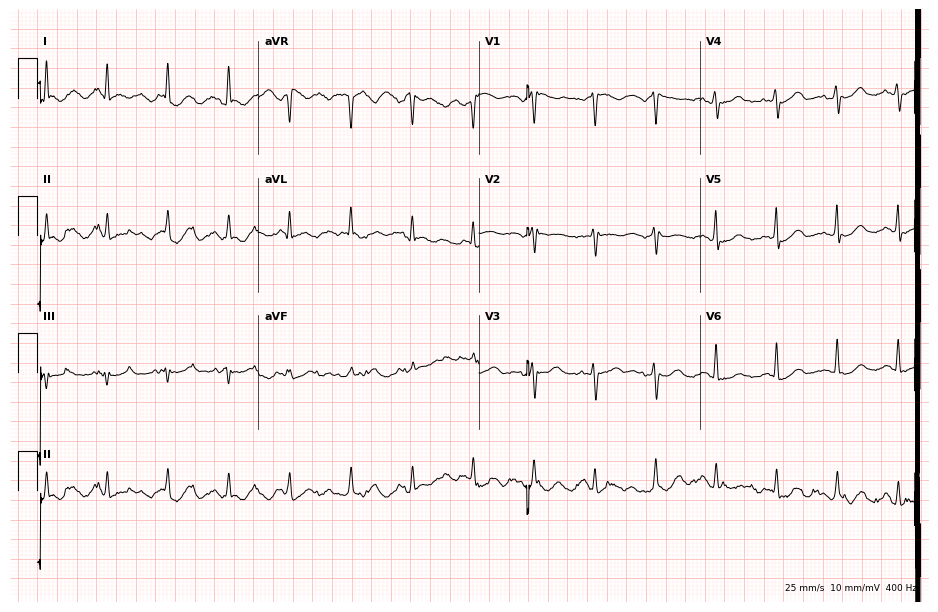
12-lead ECG from a 78-year-old female patient (9-second recording at 400 Hz). No first-degree AV block, right bundle branch block (RBBB), left bundle branch block (LBBB), sinus bradycardia, atrial fibrillation (AF) or sinus tachycardia recorded for this tracing.